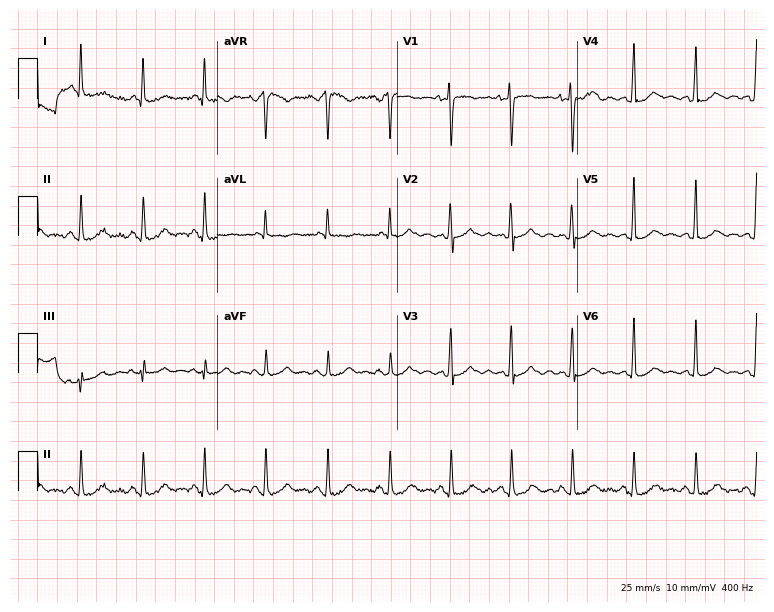
12-lead ECG (7.3-second recording at 400 Hz) from a female, 52 years old. Screened for six findings — first-degree AV block, right bundle branch block, left bundle branch block, sinus bradycardia, atrial fibrillation, sinus tachycardia — none is recorded.